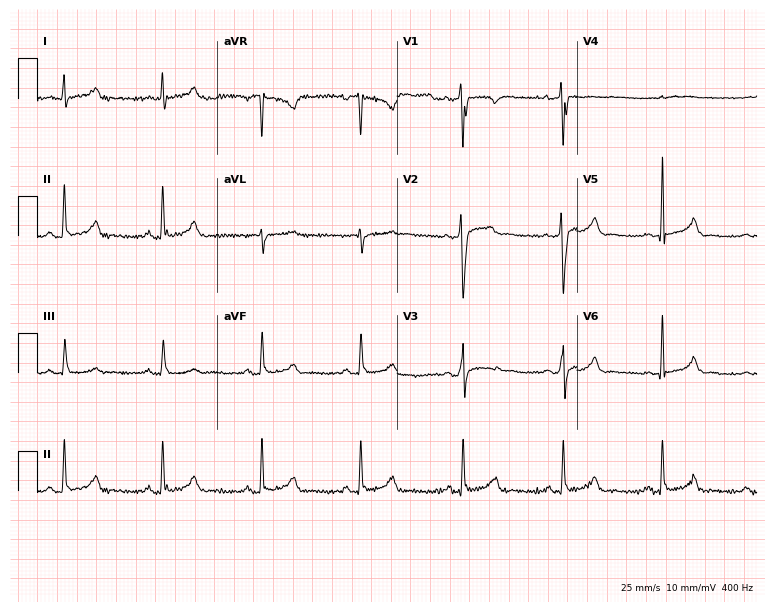
Standard 12-lead ECG recorded from a 41-year-old male patient (7.3-second recording at 400 Hz). None of these six findings is recorded: first-degree AV block, right bundle branch block (RBBB), left bundle branch block (LBBB), sinus bradycardia, atrial fibrillation (AF), sinus tachycardia. Only these six findings were labelled.